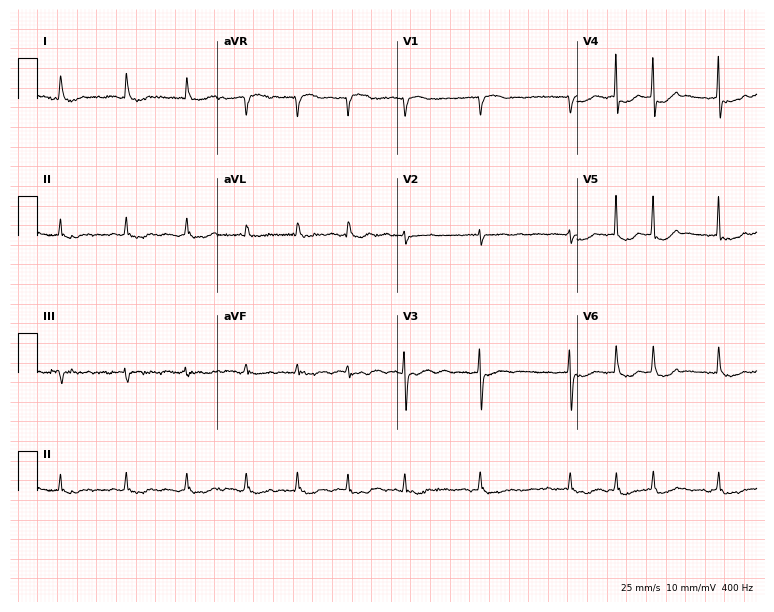
ECG (7.3-second recording at 400 Hz) — an 84-year-old woman. Screened for six findings — first-degree AV block, right bundle branch block, left bundle branch block, sinus bradycardia, atrial fibrillation, sinus tachycardia — none is recorded. Other findings, if any, are not listed.